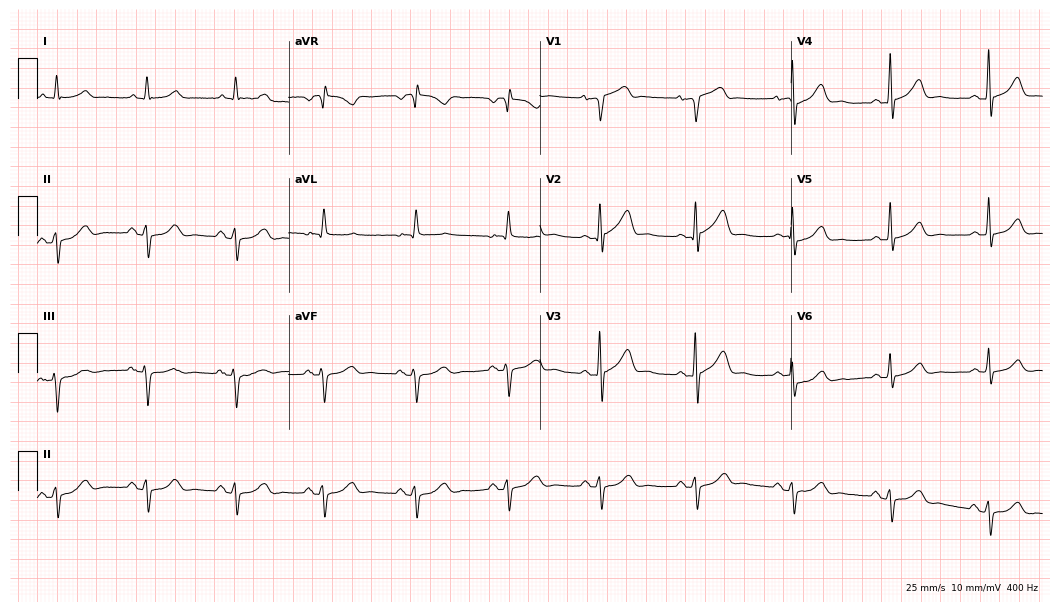
Electrocardiogram, a male, 76 years old. Of the six screened findings (first-degree AV block, right bundle branch block, left bundle branch block, sinus bradycardia, atrial fibrillation, sinus tachycardia), none is recorded.